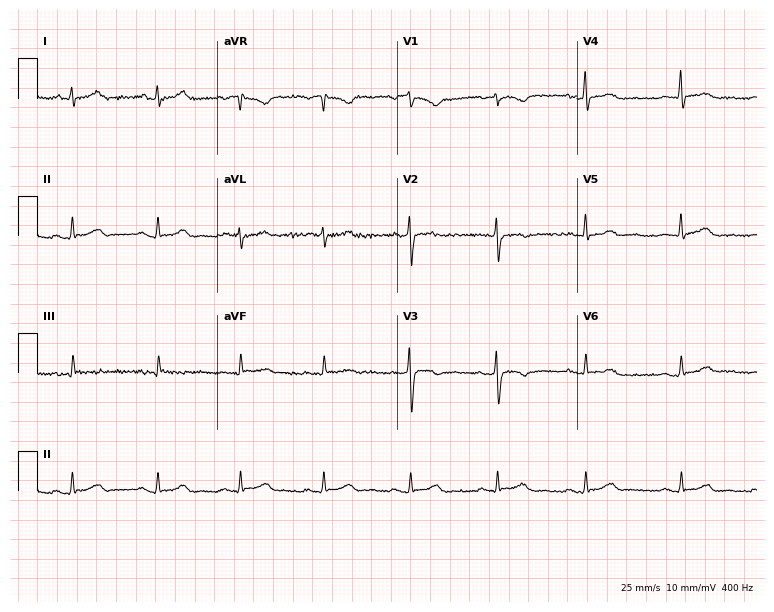
12-lead ECG from a 49-year-old female (7.3-second recording at 400 Hz). Recorded interpretation: within normal limits.